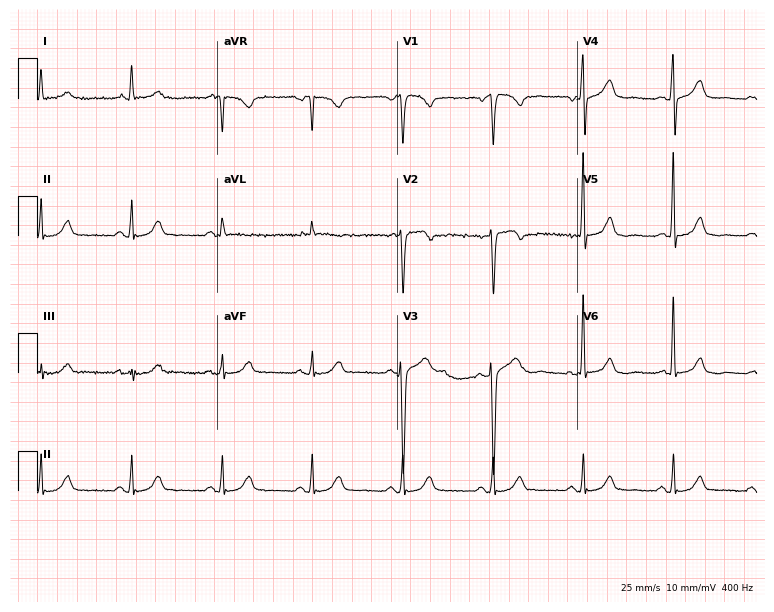
Standard 12-lead ECG recorded from a male, 53 years old (7.3-second recording at 400 Hz). Read as a normal ECG.